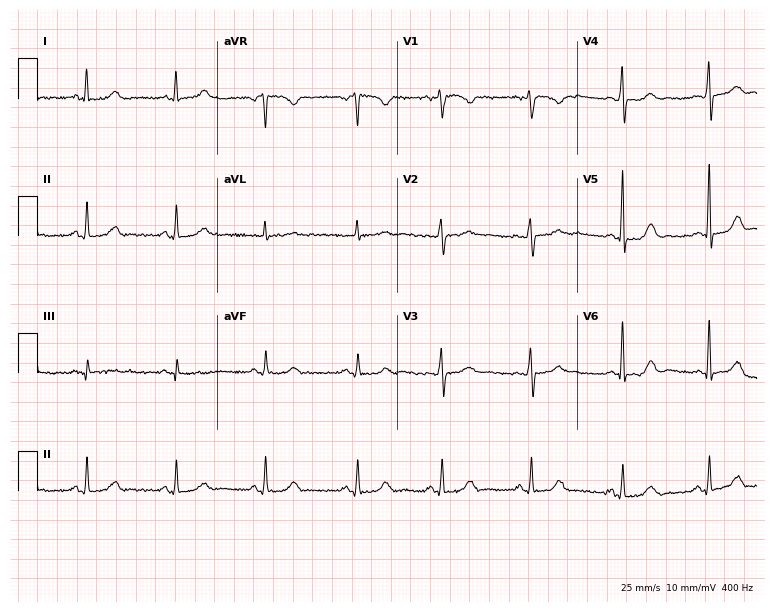
12-lead ECG from a female, 32 years old (7.3-second recording at 400 Hz). Recorded interpretation: within normal limits.